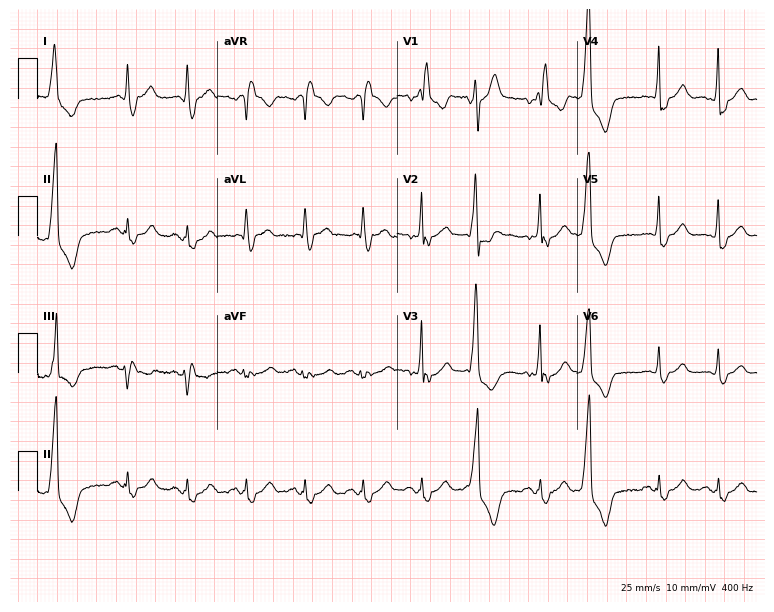
12-lead ECG from a 76-year-old female. Shows right bundle branch block, sinus tachycardia (a sinus rate of 100 beats per minute or more).